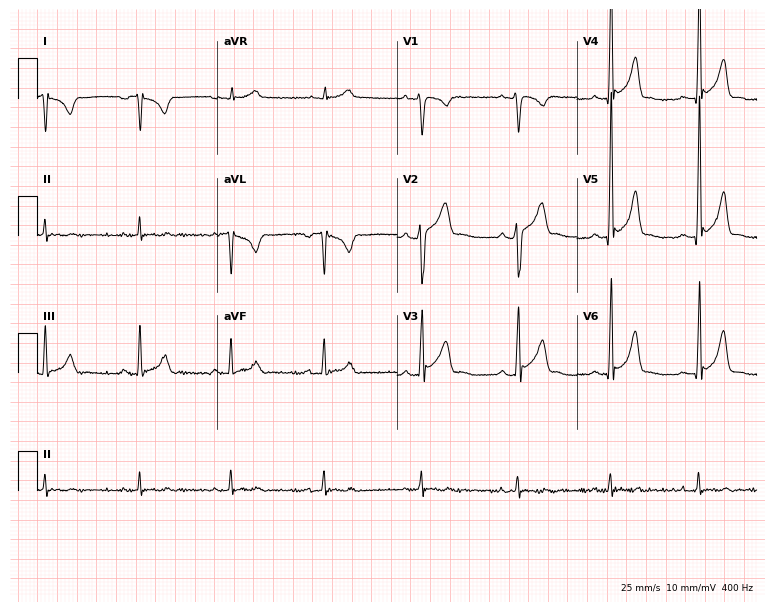
Resting 12-lead electrocardiogram (7.3-second recording at 400 Hz). Patient: a 20-year-old male. None of these six findings is recorded: first-degree AV block, right bundle branch block, left bundle branch block, sinus bradycardia, atrial fibrillation, sinus tachycardia.